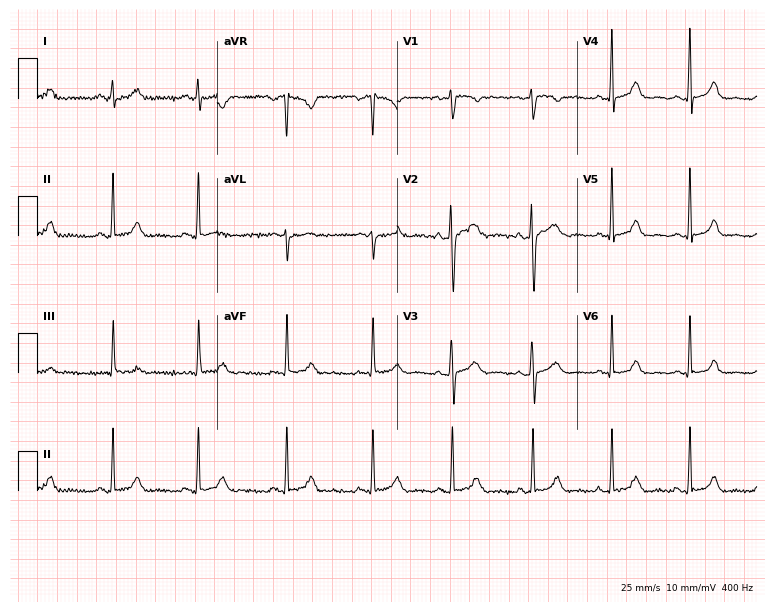
12-lead ECG from an 18-year-old female patient. No first-degree AV block, right bundle branch block, left bundle branch block, sinus bradycardia, atrial fibrillation or sinus tachycardia recorded for this tracing.